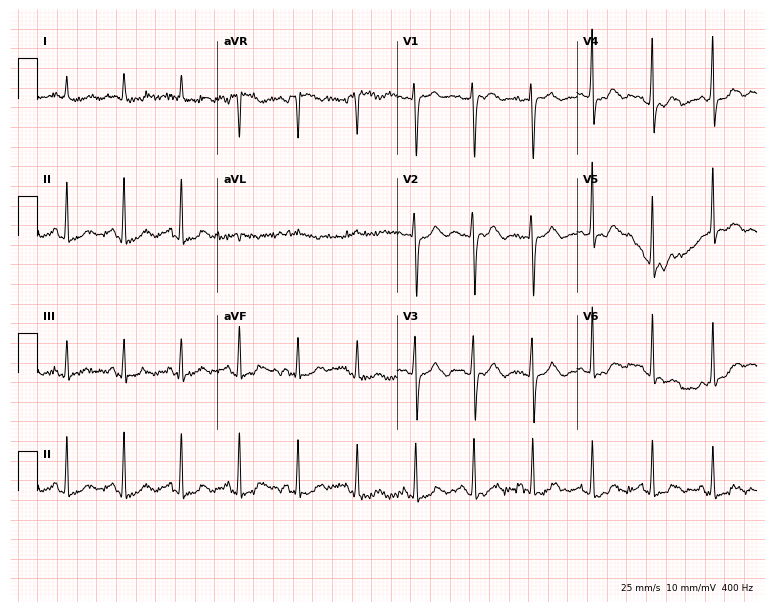
Standard 12-lead ECG recorded from a 49-year-old female patient (7.3-second recording at 400 Hz). The tracing shows sinus tachycardia (a sinus rate of 100 beats per minute or more).